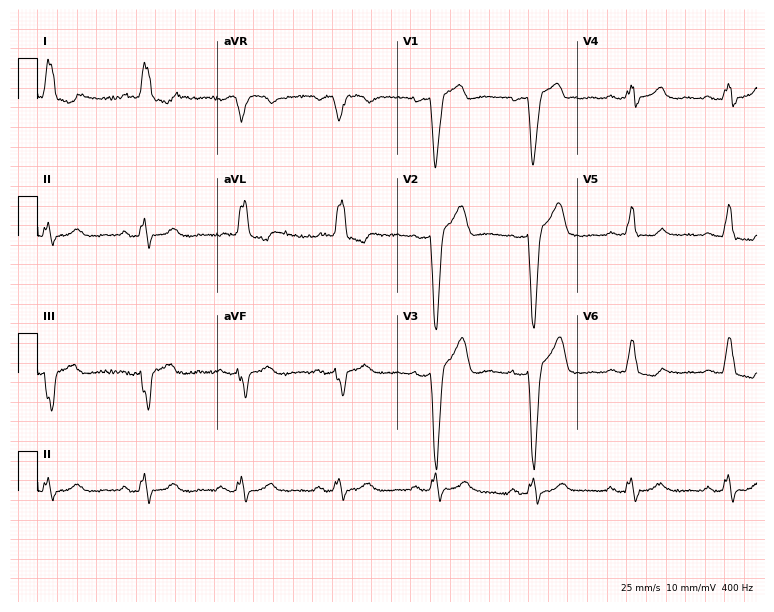
ECG — a man, 88 years old. Findings include left bundle branch block.